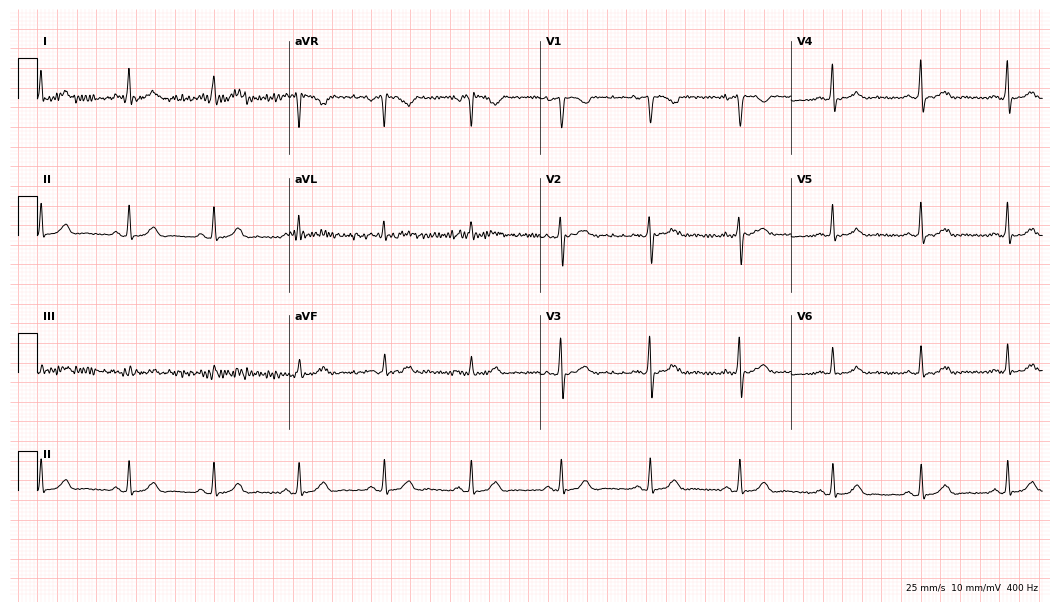
12-lead ECG from a 40-year-old female patient. Screened for six findings — first-degree AV block, right bundle branch block, left bundle branch block, sinus bradycardia, atrial fibrillation, sinus tachycardia — none is recorded. Only these six findings were labelled.